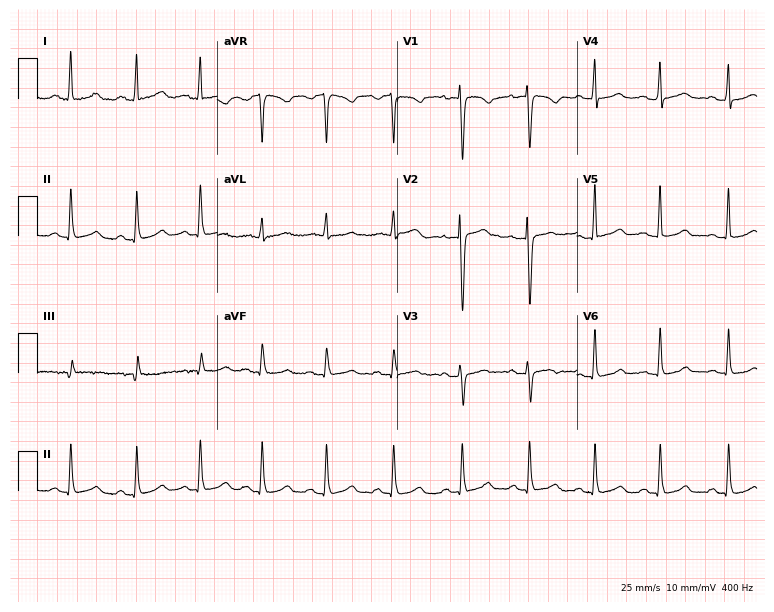
ECG (7.3-second recording at 400 Hz) — a woman, 31 years old. Screened for six findings — first-degree AV block, right bundle branch block, left bundle branch block, sinus bradycardia, atrial fibrillation, sinus tachycardia — none is recorded.